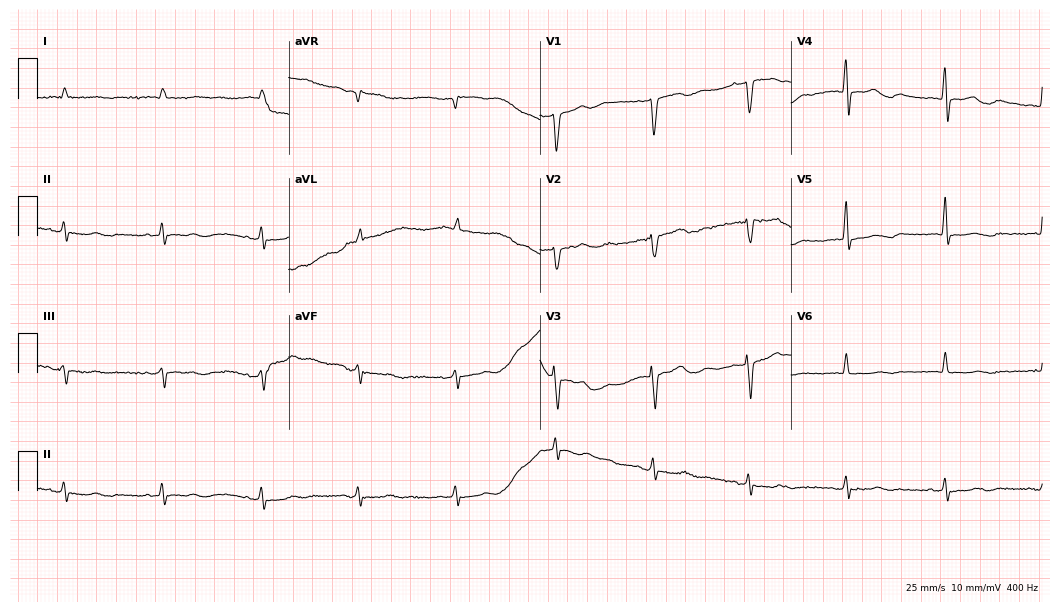
Resting 12-lead electrocardiogram (10.2-second recording at 400 Hz). Patient: a male, 85 years old. None of these six findings is recorded: first-degree AV block, right bundle branch block, left bundle branch block, sinus bradycardia, atrial fibrillation, sinus tachycardia.